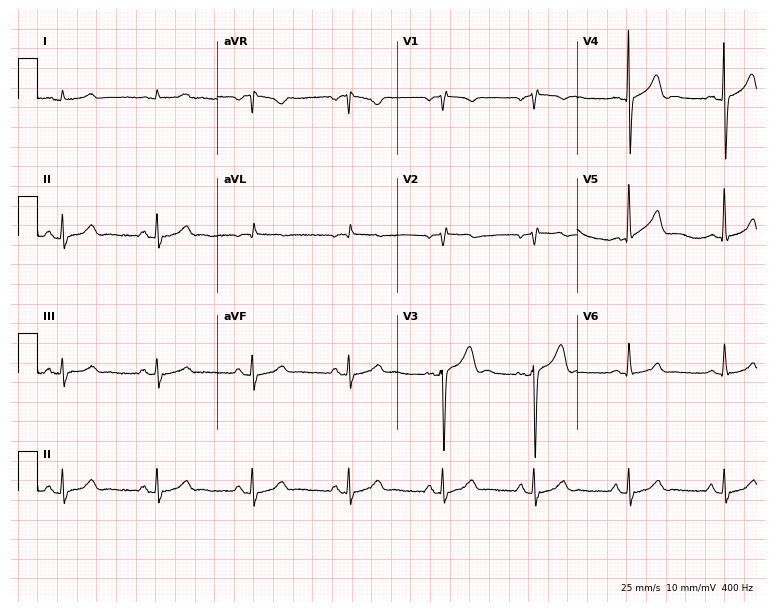
Electrocardiogram (7.3-second recording at 400 Hz), a male, 56 years old. Of the six screened findings (first-degree AV block, right bundle branch block (RBBB), left bundle branch block (LBBB), sinus bradycardia, atrial fibrillation (AF), sinus tachycardia), none is recorded.